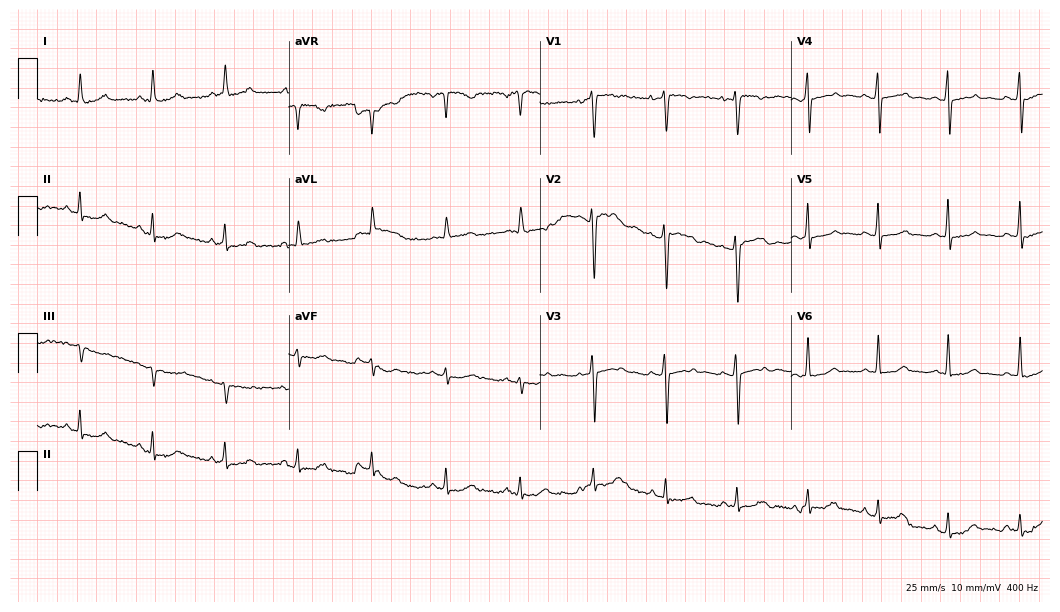
ECG — a female patient, 53 years old. Labelled as a normal ECG.